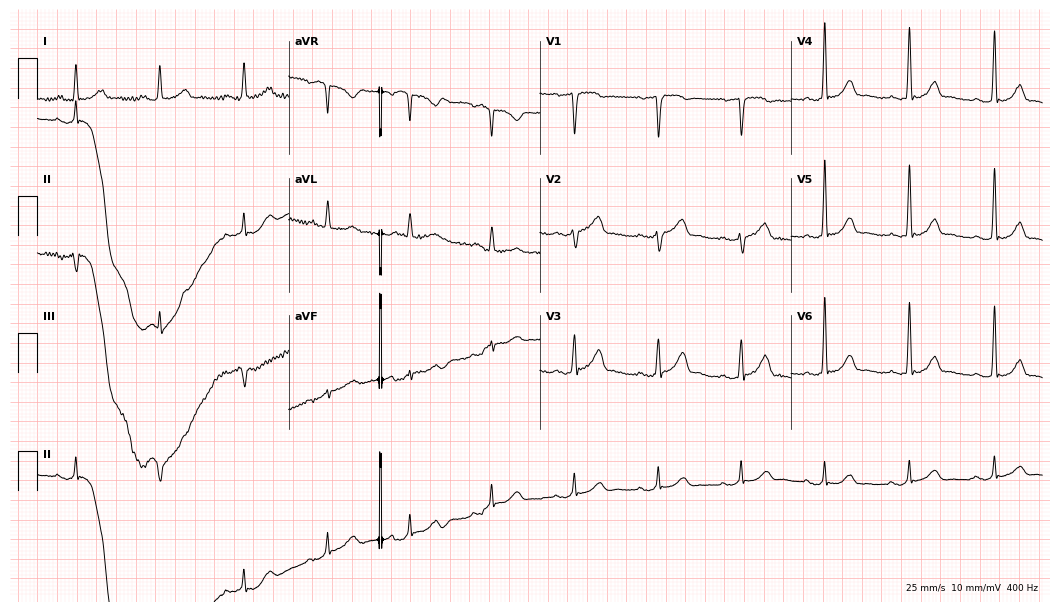
Resting 12-lead electrocardiogram. Patient: a man, 62 years old. None of these six findings is recorded: first-degree AV block, right bundle branch block, left bundle branch block, sinus bradycardia, atrial fibrillation, sinus tachycardia. Other findings, if any, are not listed.